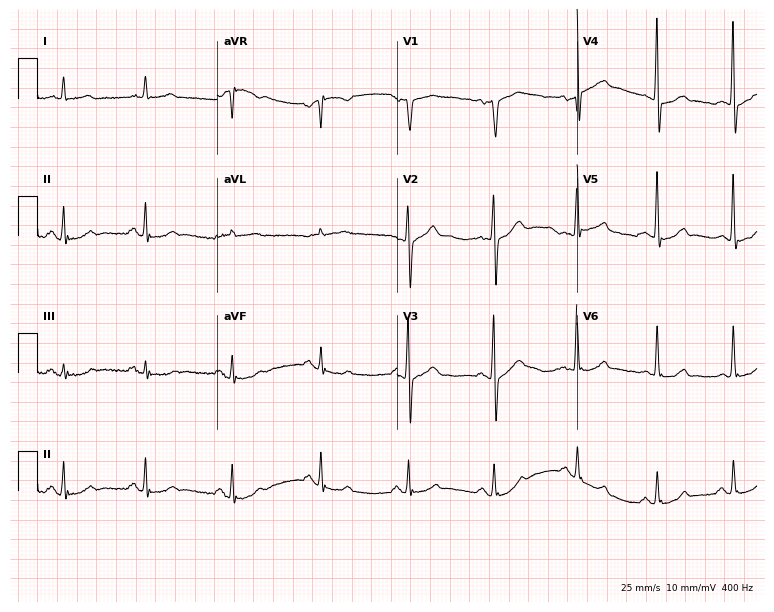
Electrocardiogram, a man, 55 years old. Overall reading on record: normal ECG.